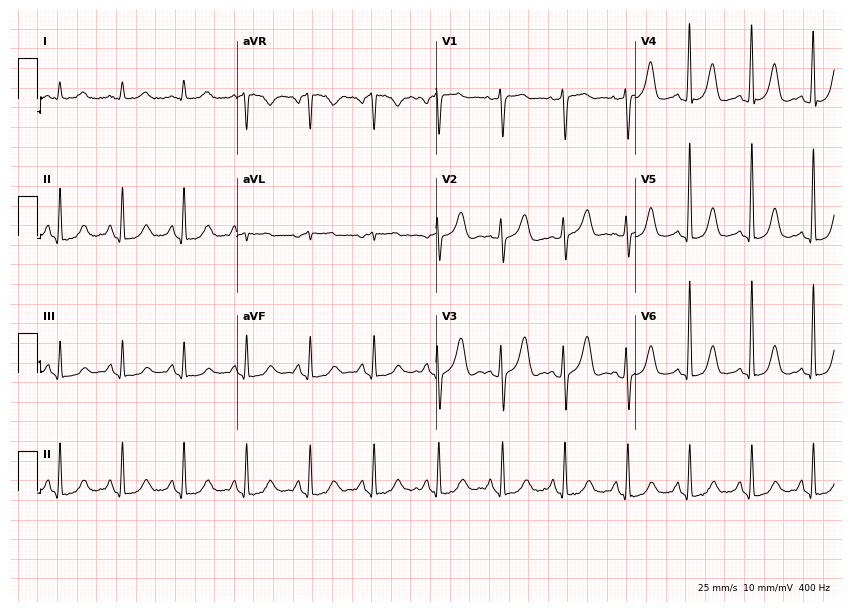
12-lead ECG (8.1-second recording at 400 Hz) from a woman, 57 years old. Labelled as a normal ECG.